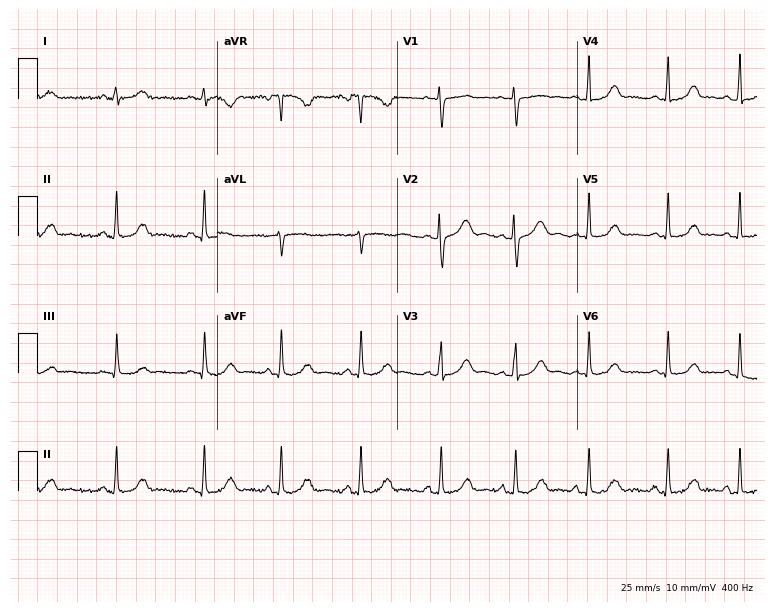
Electrocardiogram (7.3-second recording at 400 Hz), a 21-year-old female. Overall reading on record: normal ECG.